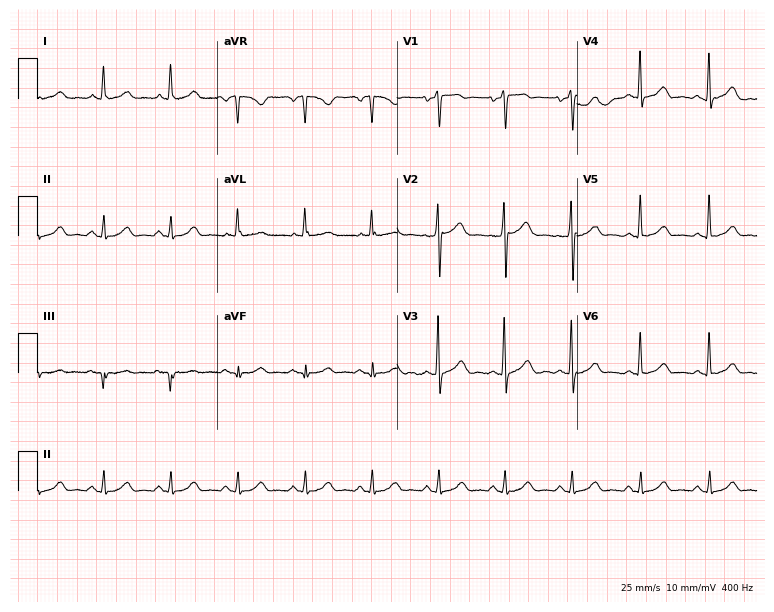
Electrocardiogram (7.3-second recording at 400 Hz), a 44-year-old male patient. Of the six screened findings (first-degree AV block, right bundle branch block, left bundle branch block, sinus bradycardia, atrial fibrillation, sinus tachycardia), none is recorded. Findings outside these six are not listed.